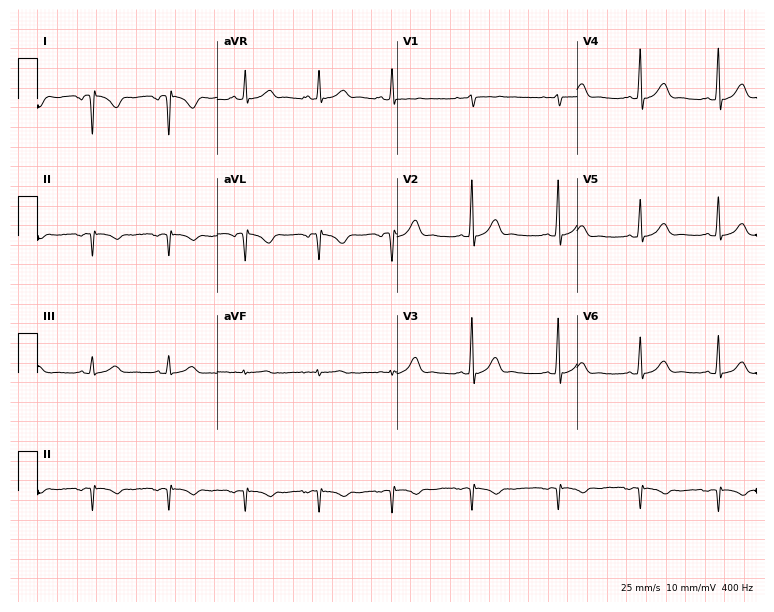
Standard 12-lead ECG recorded from a female patient, 21 years old. None of these six findings is recorded: first-degree AV block, right bundle branch block (RBBB), left bundle branch block (LBBB), sinus bradycardia, atrial fibrillation (AF), sinus tachycardia. Findings outside these six are not listed.